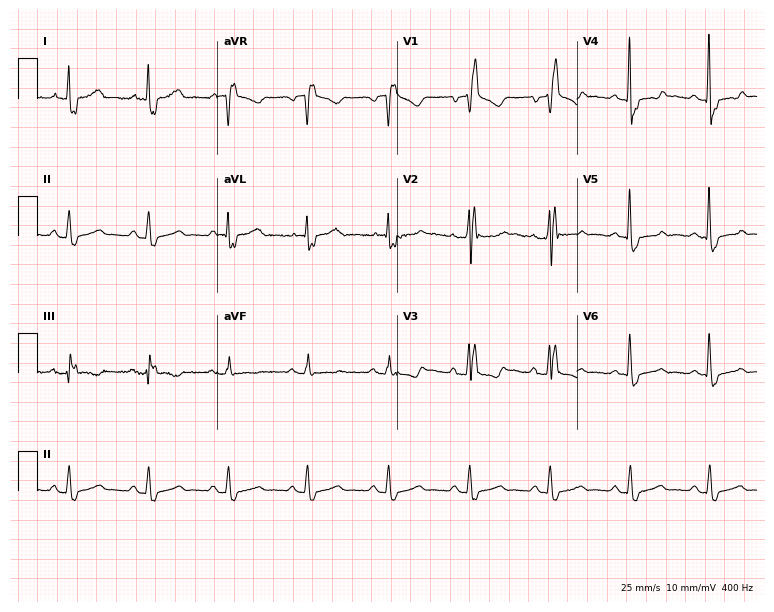
12-lead ECG from a 57-year-old male patient. Findings include right bundle branch block (RBBB).